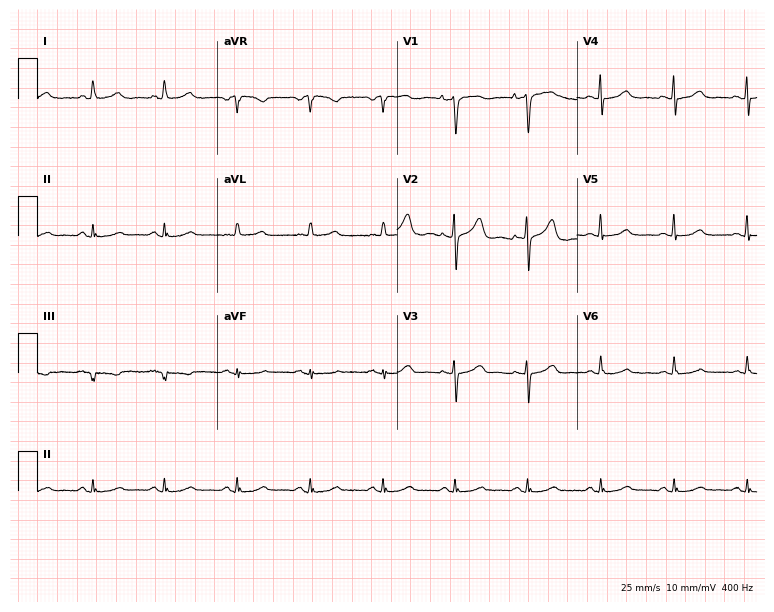
Resting 12-lead electrocardiogram. Patient: a 57-year-old male. Read as a normal ECG.